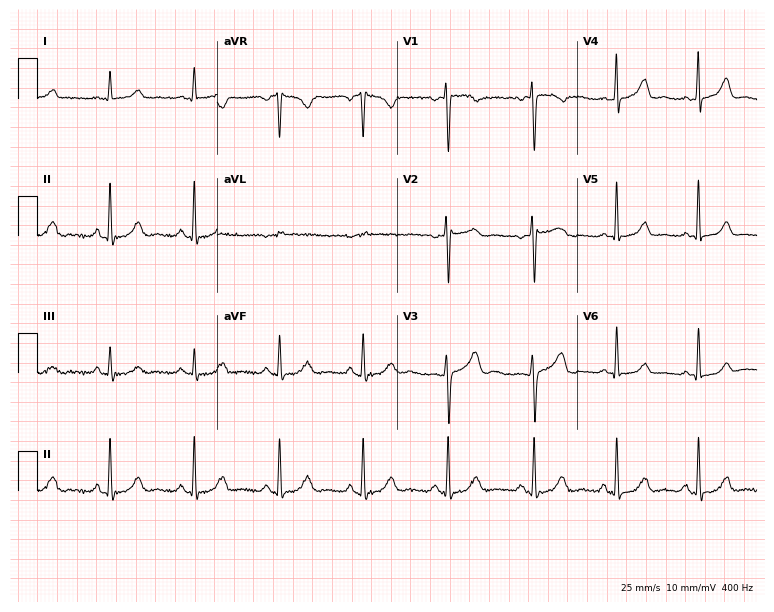
Standard 12-lead ECG recorded from a female patient, 29 years old (7.3-second recording at 400 Hz). None of these six findings is recorded: first-degree AV block, right bundle branch block, left bundle branch block, sinus bradycardia, atrial fibrillation, sinus tachycardia. Other findings, if any, are not listed.